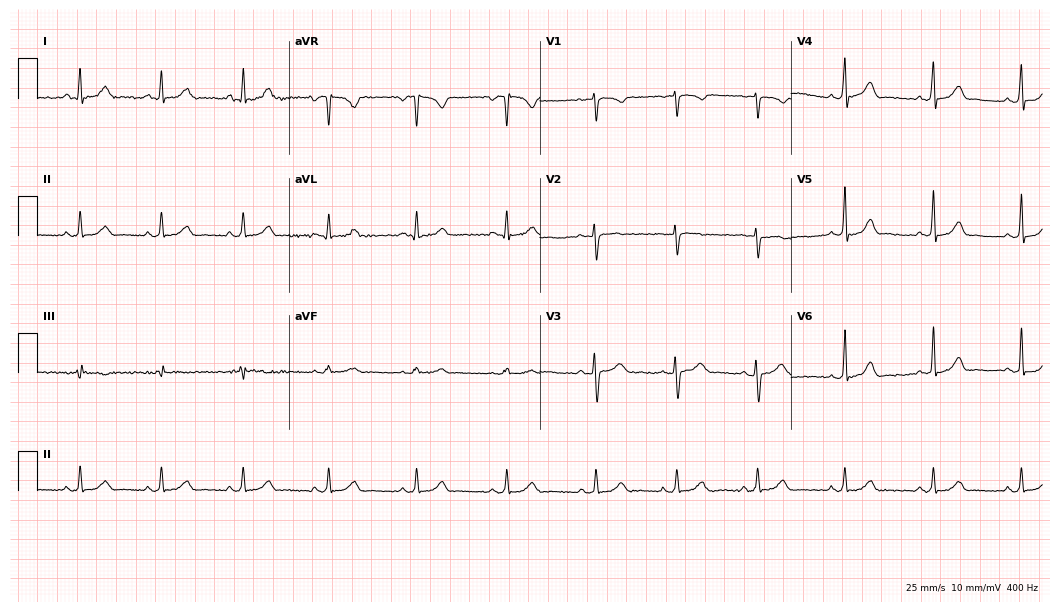
Resting 12-lead electrocardiogram (10.2-second recording at 400 Hz). Patient: a 37-year-old female. Read as a normal ECG.